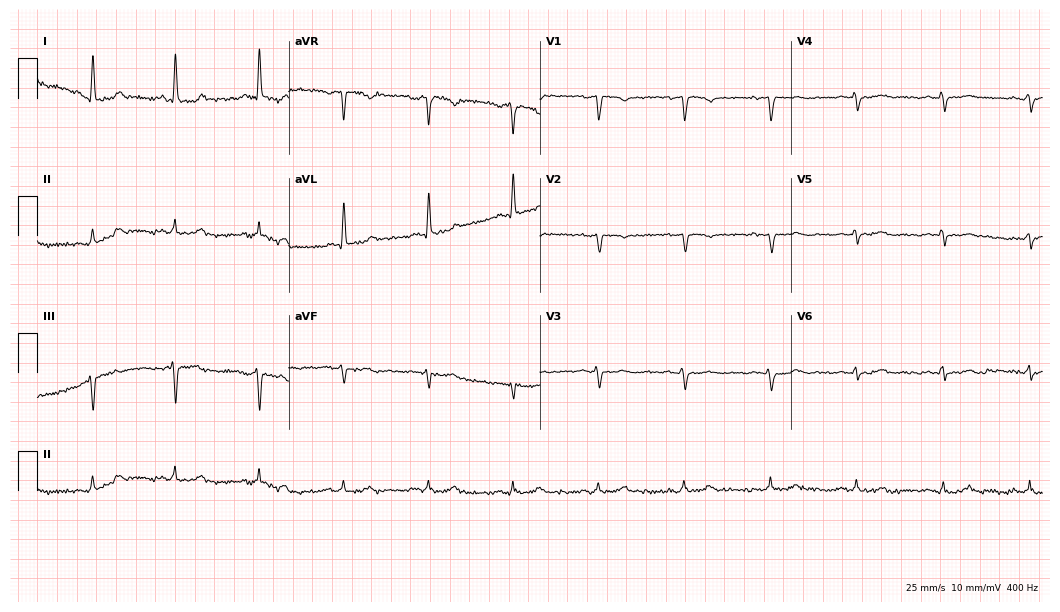
12-lead ECG from a 66-year-old woman (10.2-second recording at 400 Hz). No first-degree AV block, right bundle branch block (RBBB), left bundle branch block (LBBB), sinus bradycardia, atrial fibrillation (AF) or sinus tachycardia recorded for this tracing.